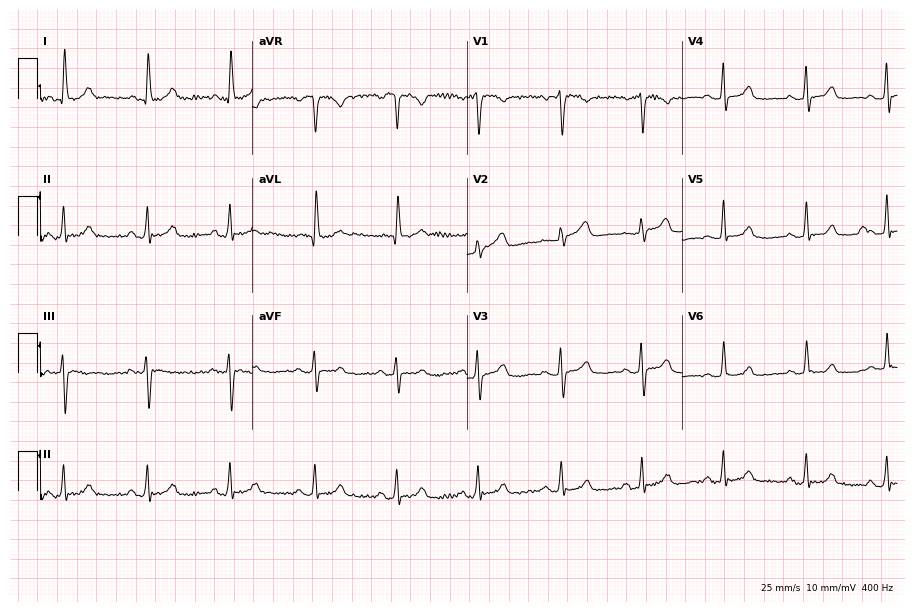
Electrocardiogram (8.8-second recording at 400 Hz), a 66-year-old female. Overall reading on record: normal ECG.